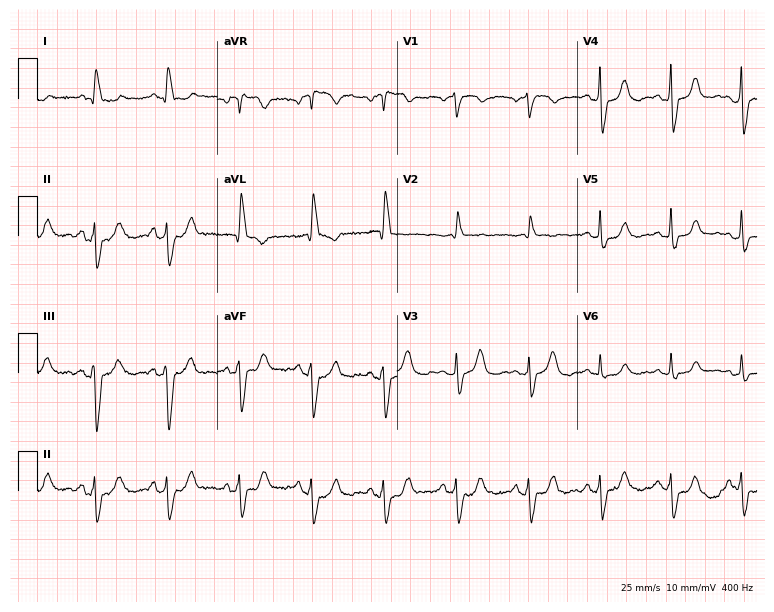
12-lead ECG from a female, 80 years old (7.3-second recording at 400 Hz). Shows left bundle branch block (LBBB).